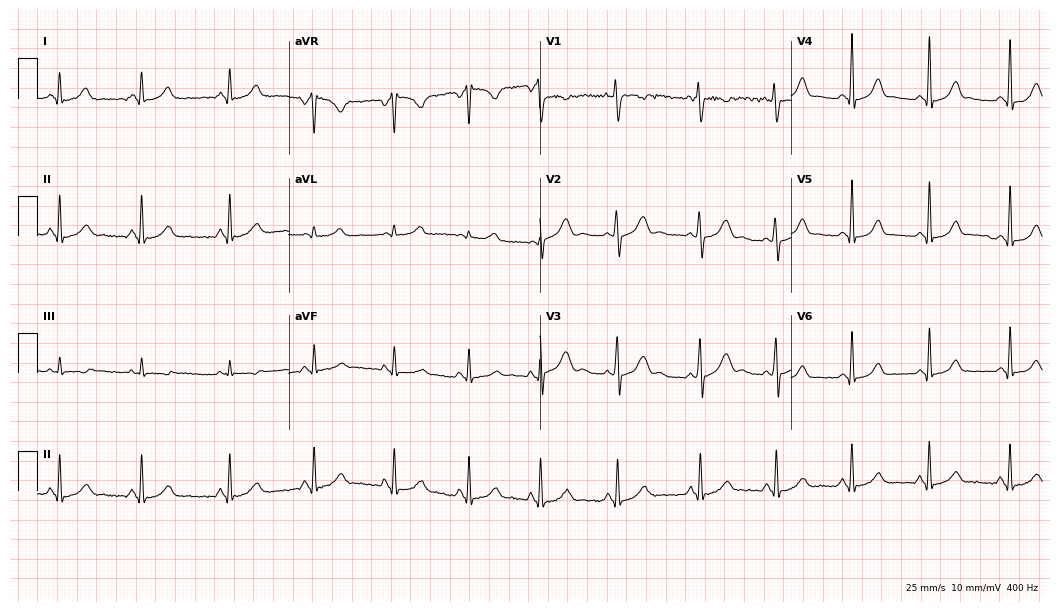
ECG — a female patient, 26 years old. Screened for six findings — first-degree AV block, right bundle branch block, left bundle branch block, sinus bradycardia, atrial fibrillation, sinus tachycardia — none is recorded. Only these six findings were labelled.